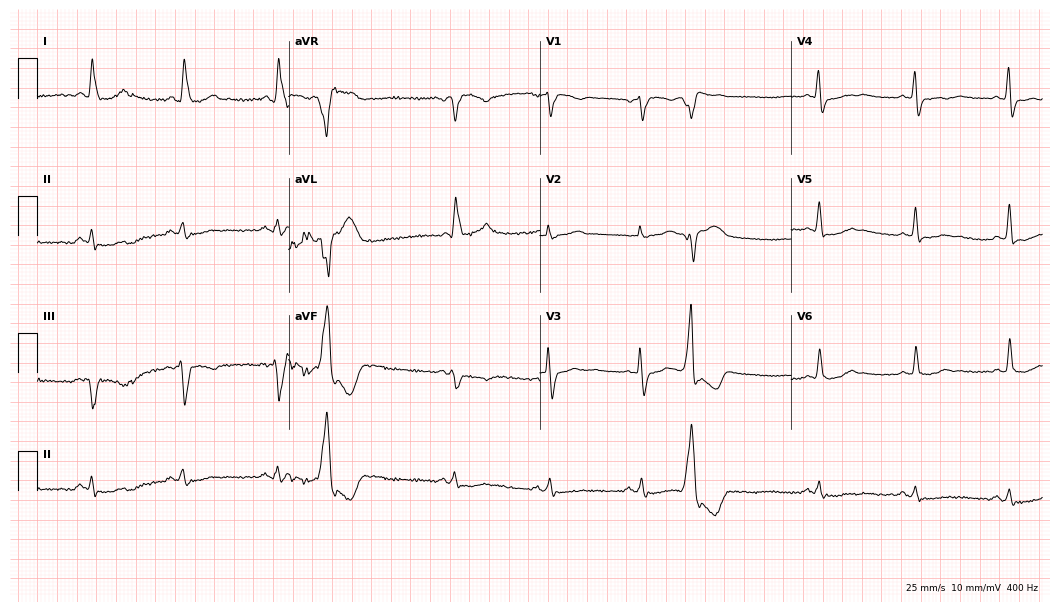
Resting 12-lead electrocardiogram (10.2-second recording at 400 Hz). Patient: a female, 73 years old. None of these six findings is recorded: first-degree AV block, right bundle branch block, left bundle branch block, sinus bradycardia, atrial fibrillation, sinus tachycardia.